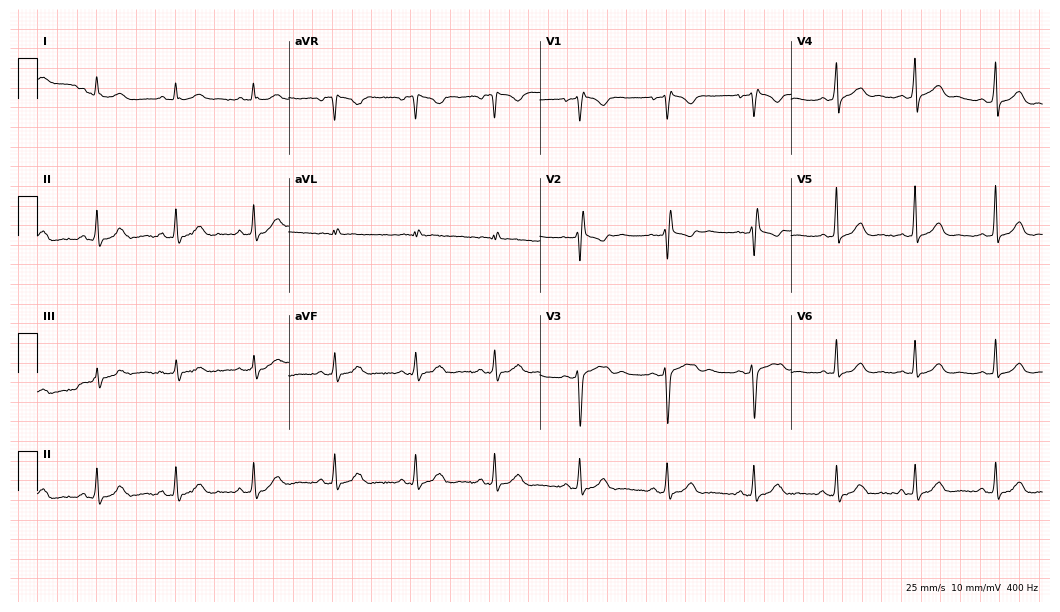
Resting 12-lead electrocardiogram. Patient: a 20-year-old female. None of these six findings is recorded: first-degree AV block, right bundle branch block (RBBB), left bundle branch block (LBBB), sinus bradycardia, atrial fibrillation (AF), sinus tachycardia.